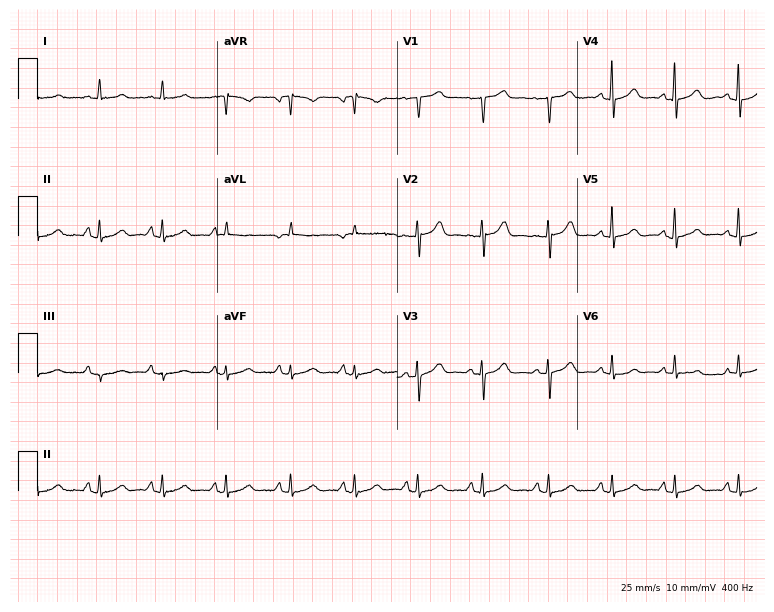
Resting 12-lead electrocardiogram (7.3-second recording at 400 Hz). Patient: a female, 54 years old. Read as a normal ECG.